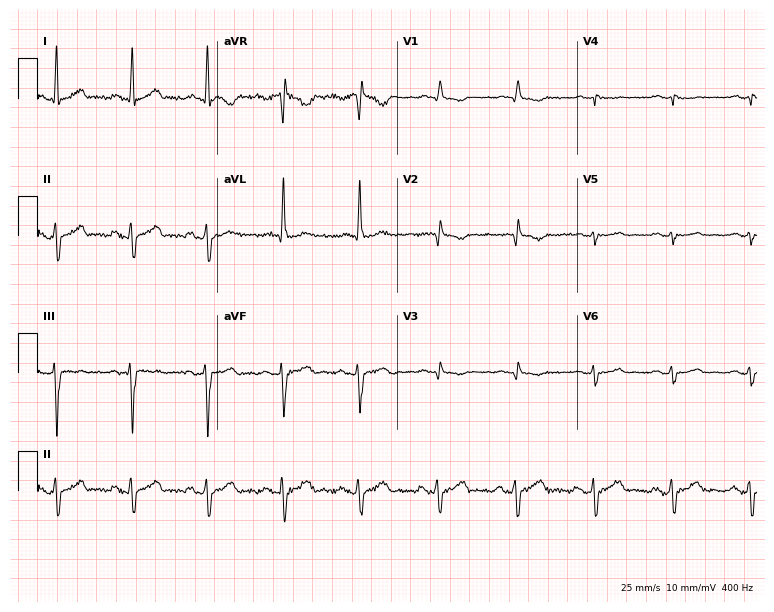
Electrocardiogram, a 59-year-old man. Of the six screened findings (first-degree AV block, right bundle branch block (RBBB), left bundle branch block (LBBB), sinus bradycardia, atrial fibrillation (AF), sinus tachycardia), none is recorded. Findings outside these six are not listed.